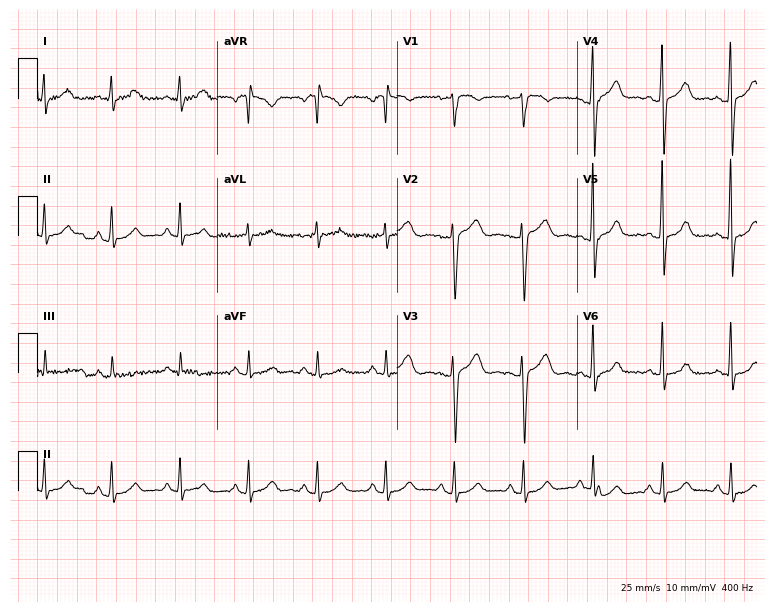
12-lead ECG from a 68-year-old woman. Screened for six findings — first-degree AV block, right bundle branch block, left bundle branch block, sinus bradycardia, atrial fibrillation, sinus tachycardia — none is recorded. Other findings, if any, are not listed.